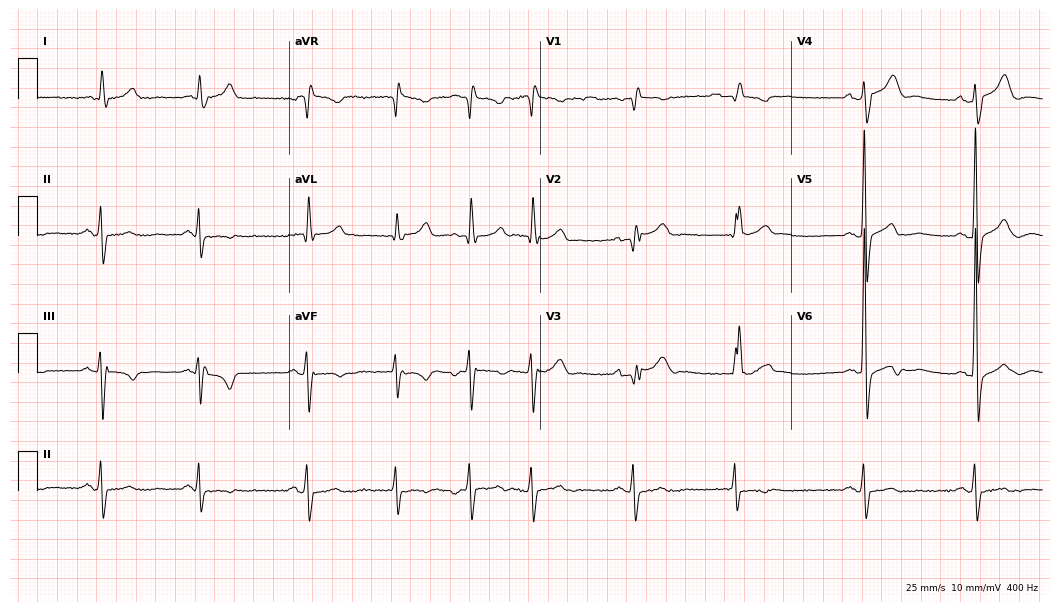
12-lead ECG (10.2-second recording at 400 Hz) from an 84-year-old male. Screened for six findings — first-degree AV block, right bundle branch block, left bundle branch block, sinus bradycardia, atrial fibrillation, sinus tachycardia — none is recorded.